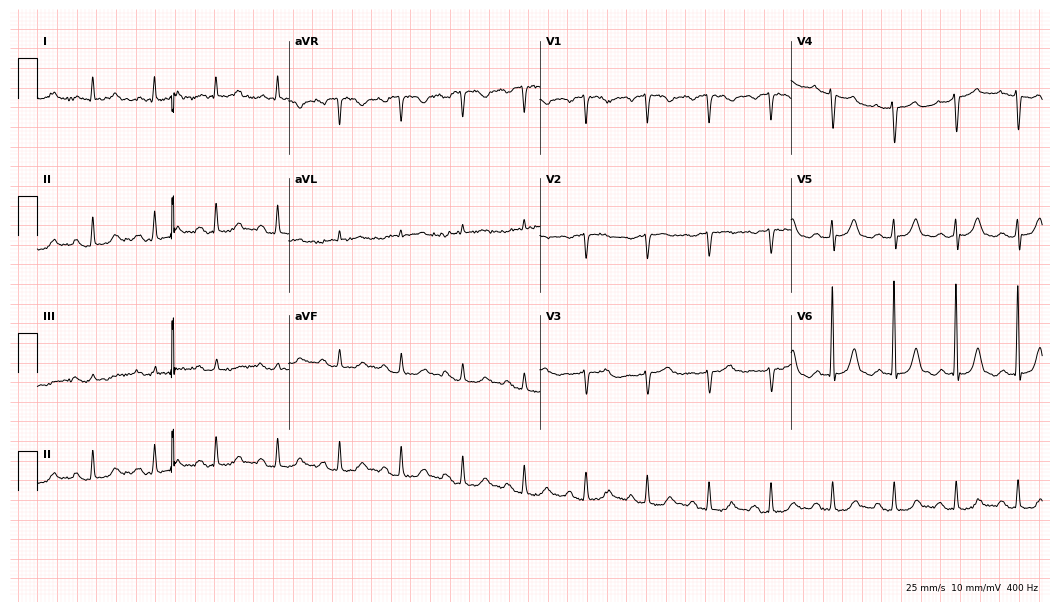
Standard 12-lead ECG recorded from an 80-year-old woman (10.2-second recording at 400 Hz). Read as a normal ECG.